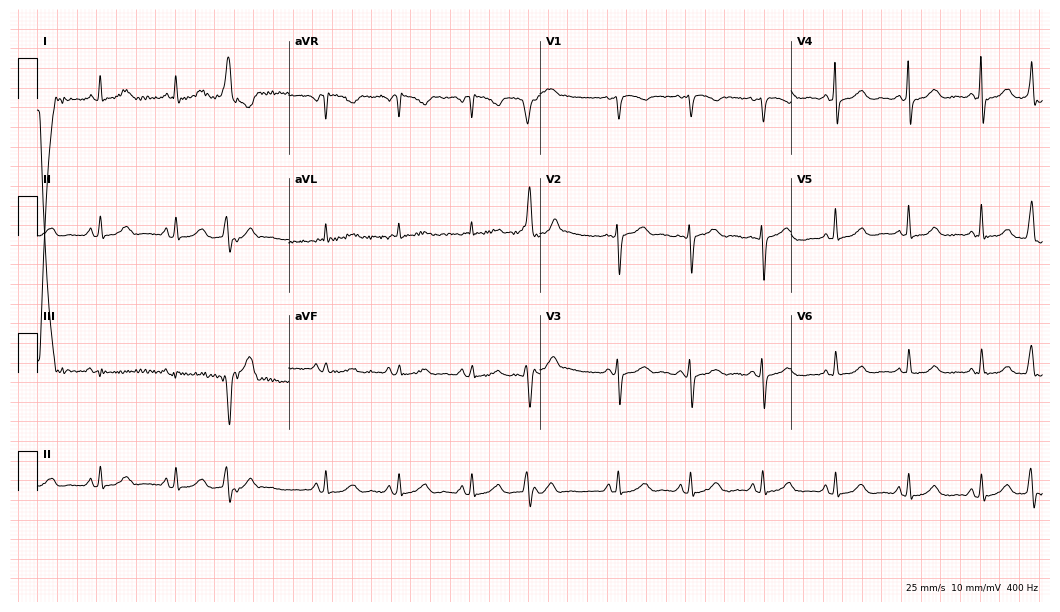
Electrocardiogram, a 65-year-old woman. Overall reading on record: normal ECG.